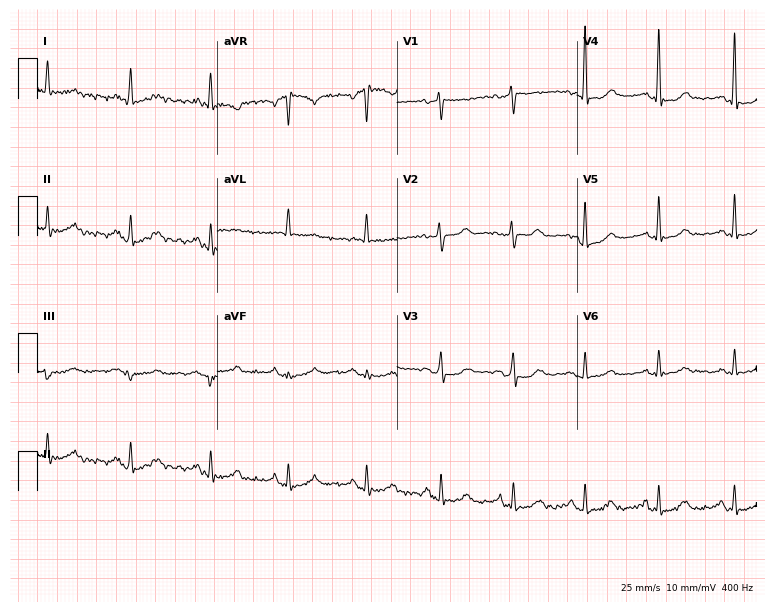
12-lead ECG from a 49-year-old female patient. Screened for six findings — first-degree AV block, right bundle branch block, left bundle branch block, sinus bradycardia, atrial fibrillation, sinus tachycardia — none is recorded. Findings outside these six are not listed.